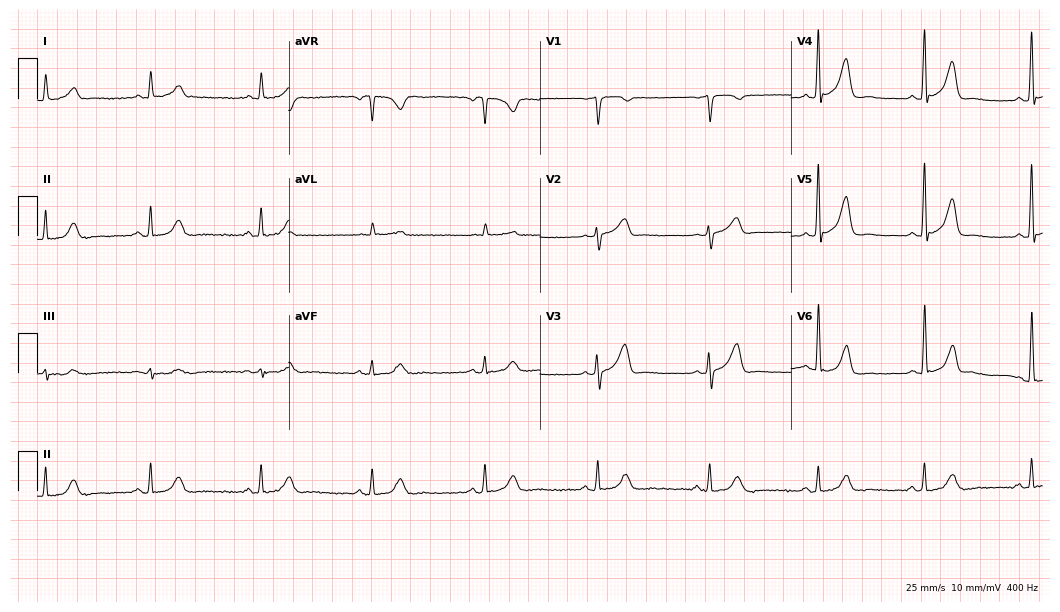
ECG (10.2-second recording at 400 Hz) — a 66-year-old man. Labelled as a normal ECG.